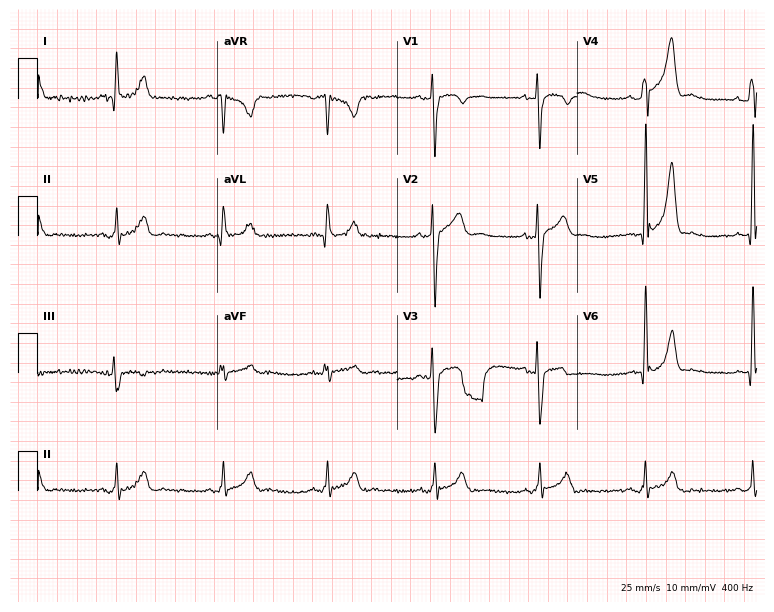
ECG — a 33-year-old male patient. Screened for six findings — first-degree AV block, right bundle branch block (RBBB), left bundle branch block (LBBB), sinus bradycardia, atrial fibrillation (AF), sinus tachycardia — none is recorded.